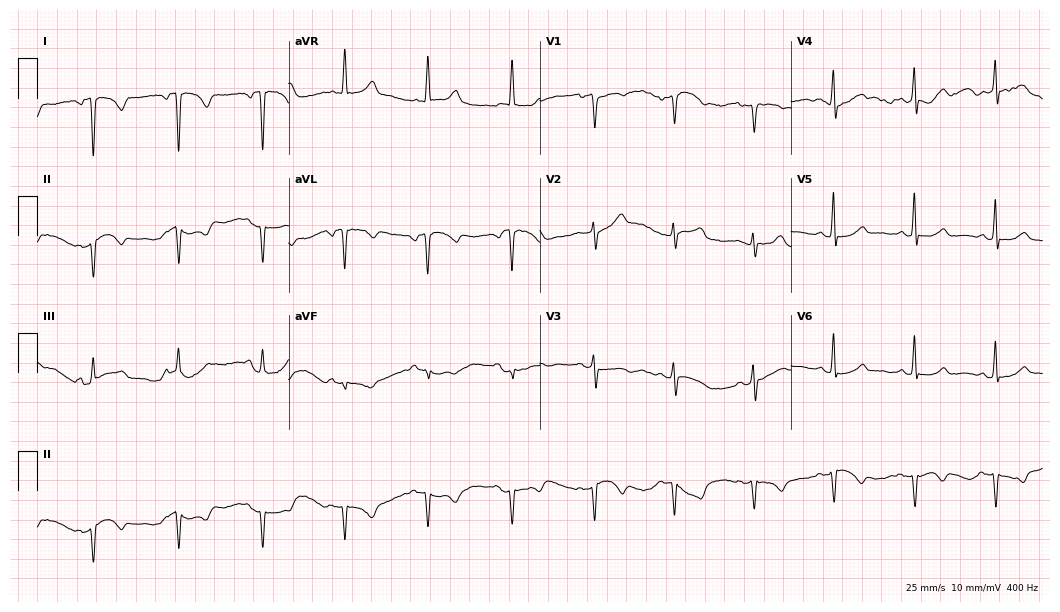
ECG (10.2-second recording at 400 Hz) — a 49-year-old woman. Screened for six findings — first-degree AV block, right bundle branch block, left bundle branch block, sinus bradycardia, atrial fibrillation, sinus tachycardia — none is recorded. Only these six findings were labelled.